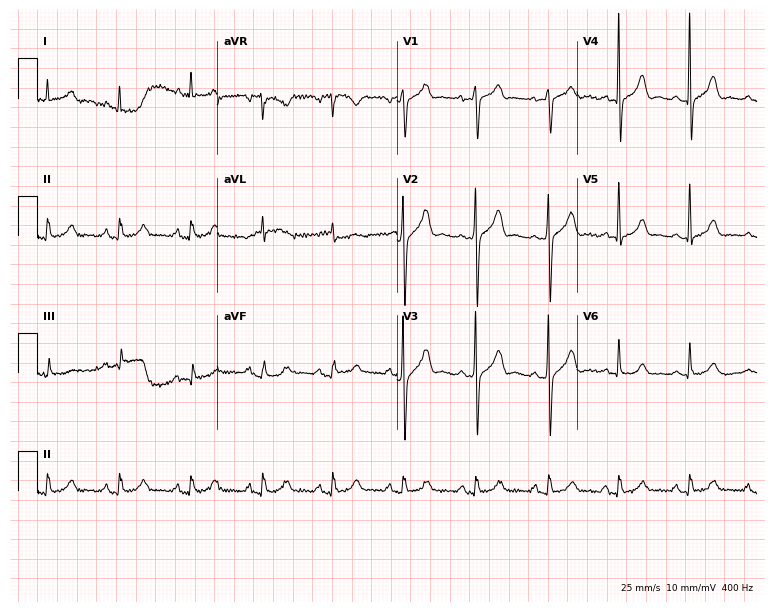
12-lead ECG from a male patient, 71 years old. Recorded interpretation: within normal limits.